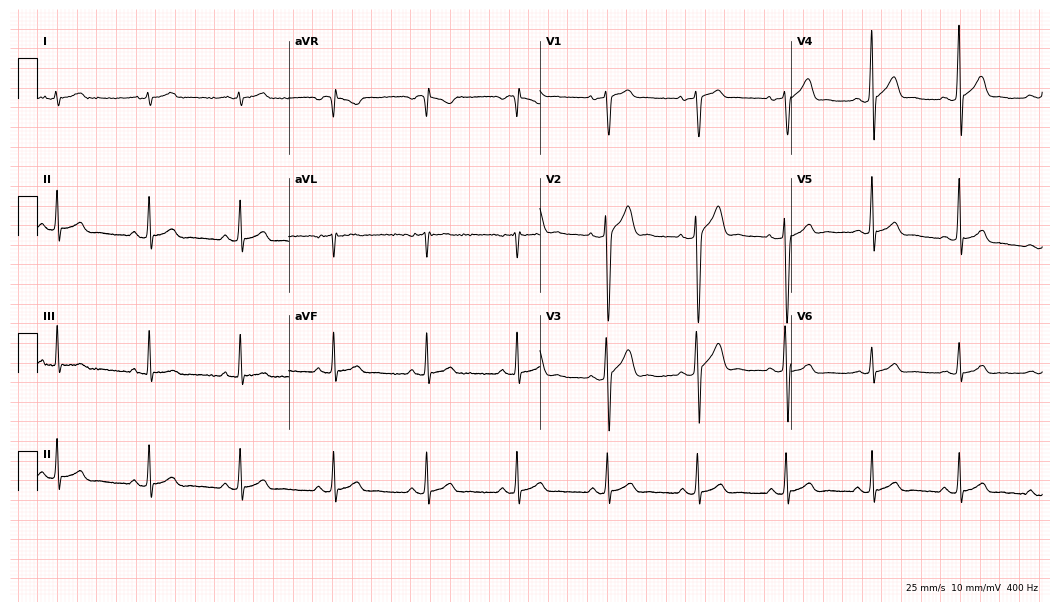
12-lead ECG from a male patient, 39 years old. Recorded interpretation: within normal limits.